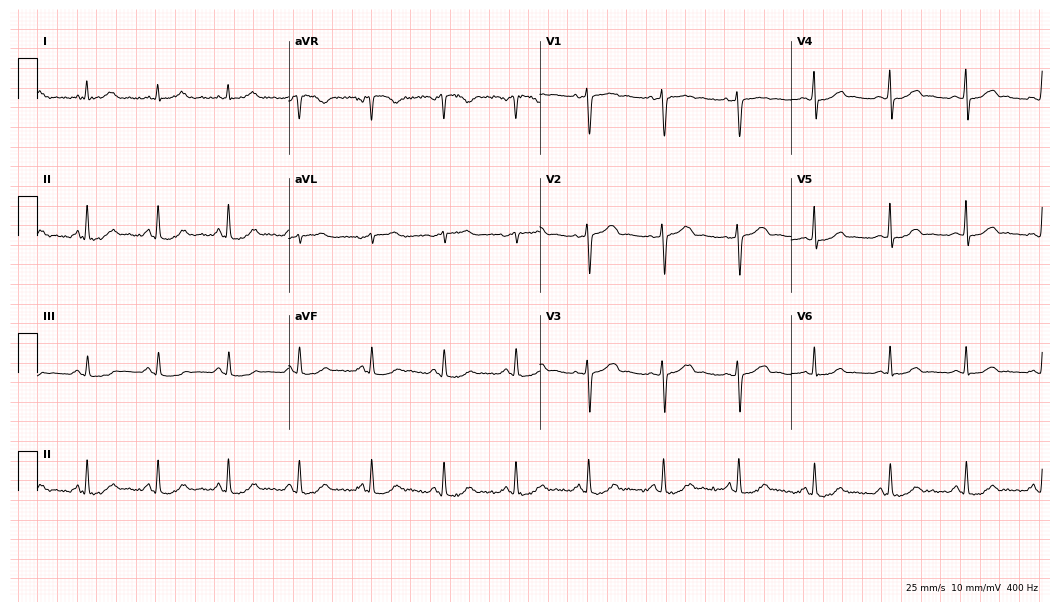
ECG (10.2-second recording at 400 Hz) — a female, 49 years old. Labelled as a normal ECG.